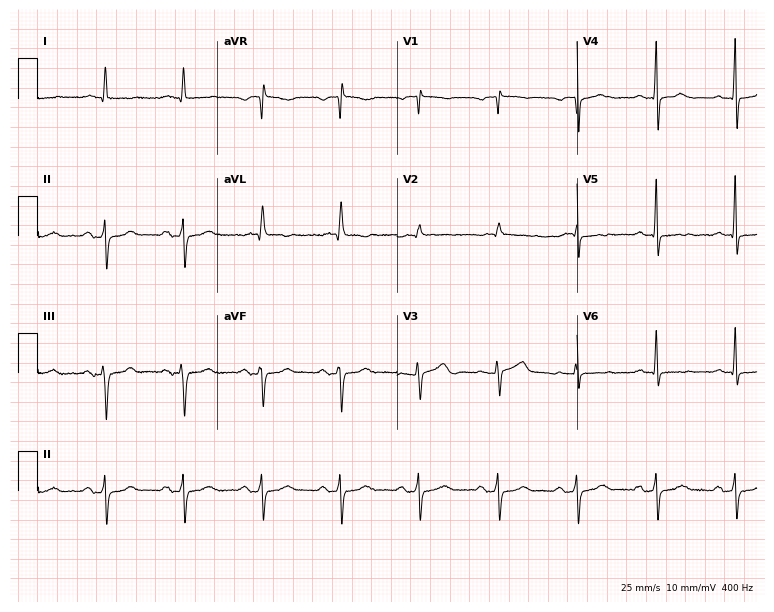
Standard 12-lead ECG recorded from a man, 73 years old (7.3-second recording at 400 Hz). None of these six findings is recorded: first-degree AV block, right bundle branch block, left bundle branch block, sinus bradycardia, atrial fibrillation, sinus tachycardia.